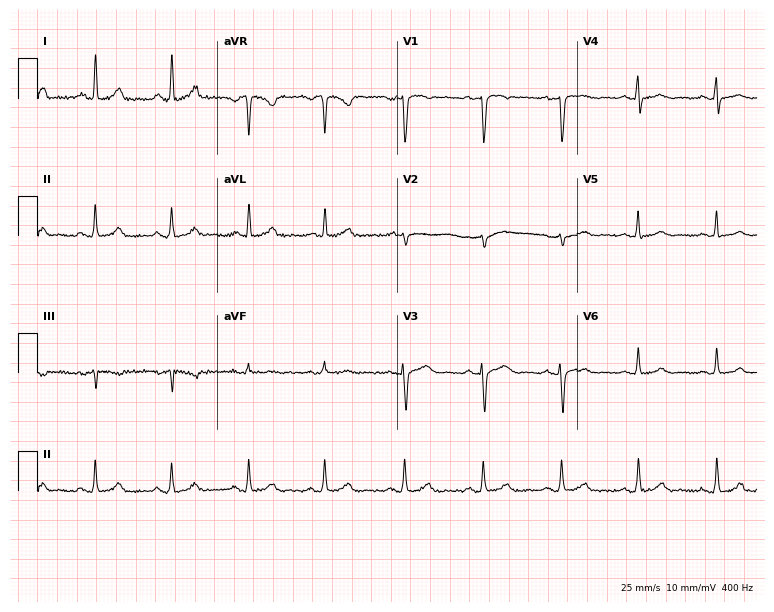
ECG — a 40-year-old female. Labelled as a normal ECG.